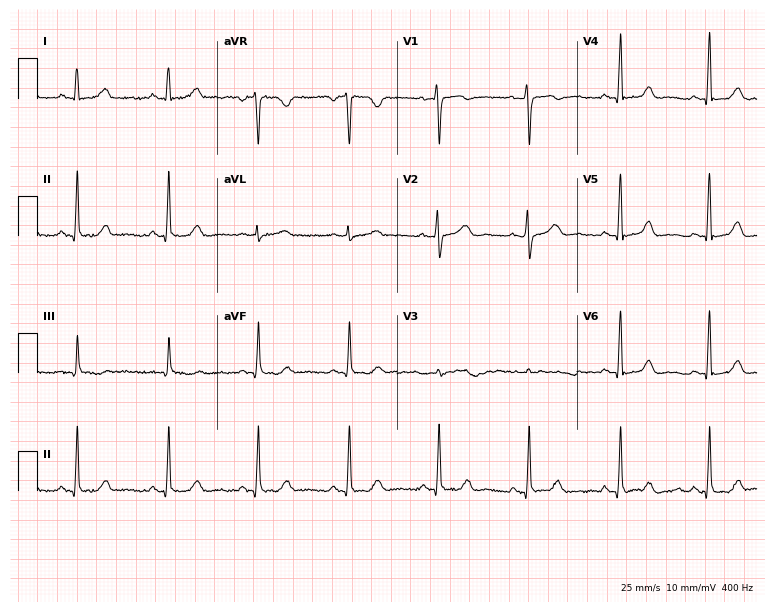
12-lead ECG from a female patient, 54 years old (7.3-second recording at 400 Hz). Recorded interpretation: within normal limits.